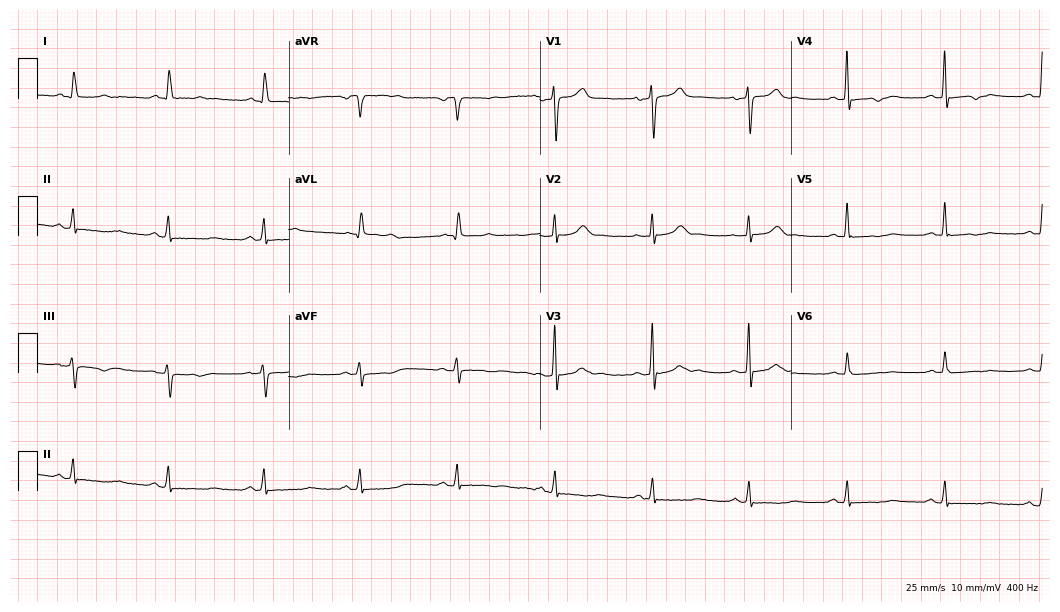
12-lead ECG from a 72-year-old man. No first-degree AV block, right bundle branch block, left bundle branch block, sinus bradycardia, atrial fibrillation or sinus tachycardia recorded for this tracing.